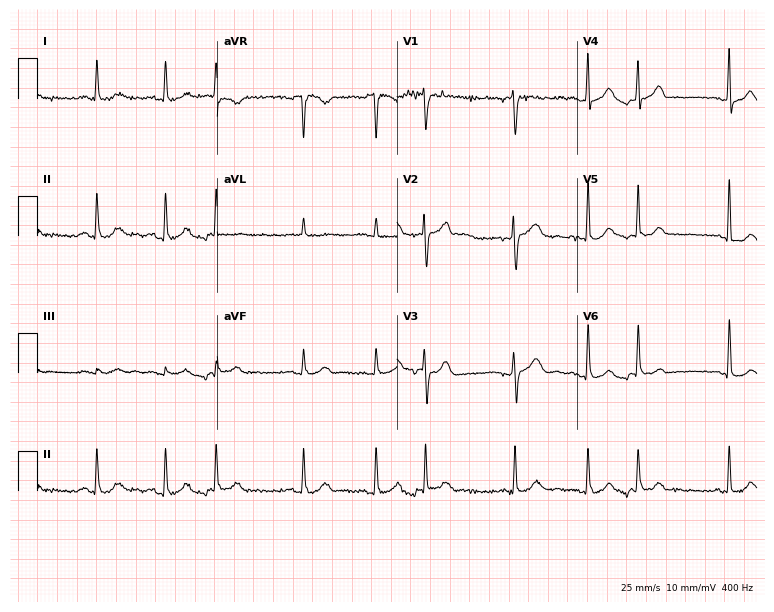
Resting 12-lead electrocardiogram. Patient: a female, 77 years old. None of these six findings is recorded: first-degree AV block, right bundle branch block, left bundle branch block, sinus bradycardia, atrial fibrillation, sinus tachycardia.